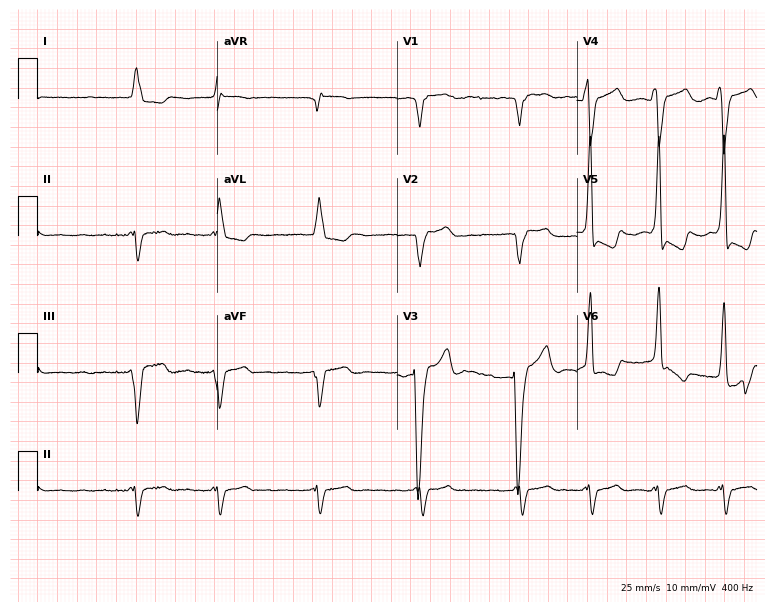
Standard 12-lead ECG recorded from an 83-year-old female. The tracing shows left bundle branch block (LBBB), atrial fibrillation (AF).